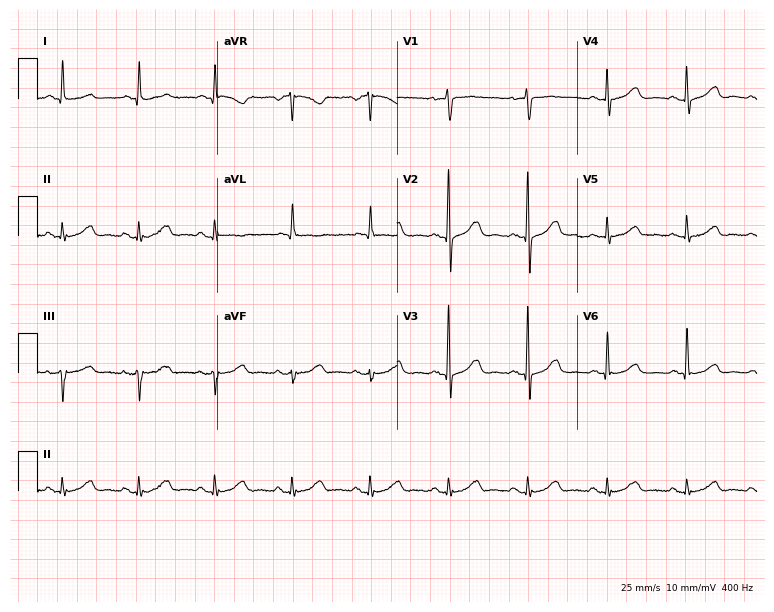
12-lead ECG from a 59-year-old female (7.3-second recording at 400 Hz). No first-degree AV block, right bundle branch block (RBBB), left bundle branch block (LBBB), sinus bradycardia, atrial fibrillation (AF) or sinus tachycardia recorded for this tracing. Other findings, if any, are not listed.